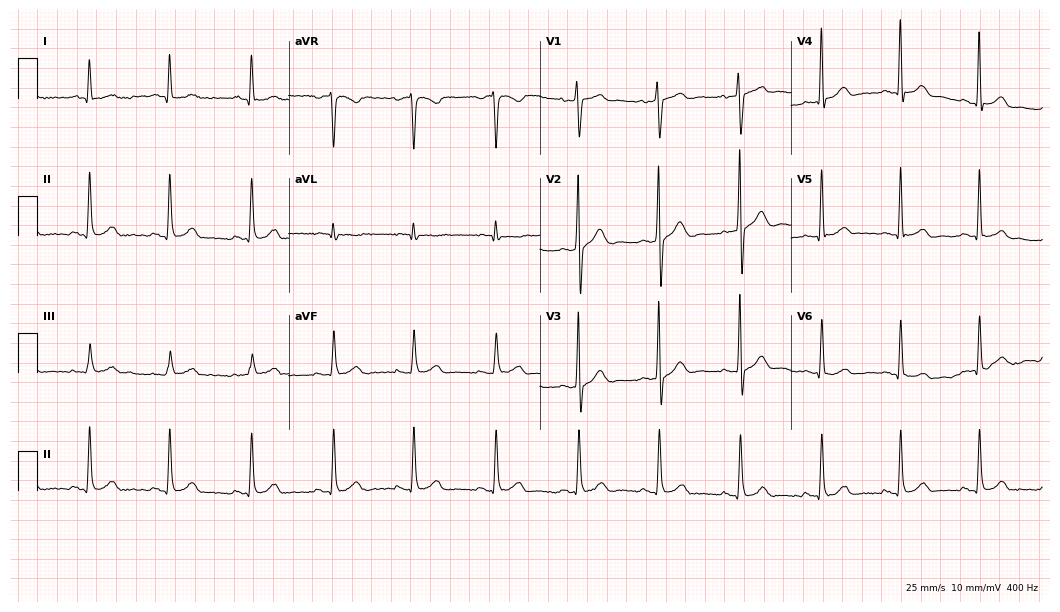
Electrocardiogram, a male patient, 40 years old. Of the six screened findings (first-degree AV block, right bundle branch block, left bundle branch block, sinus bradycardia, atrial fibrillation, sinus tachycardia), none is recorded.